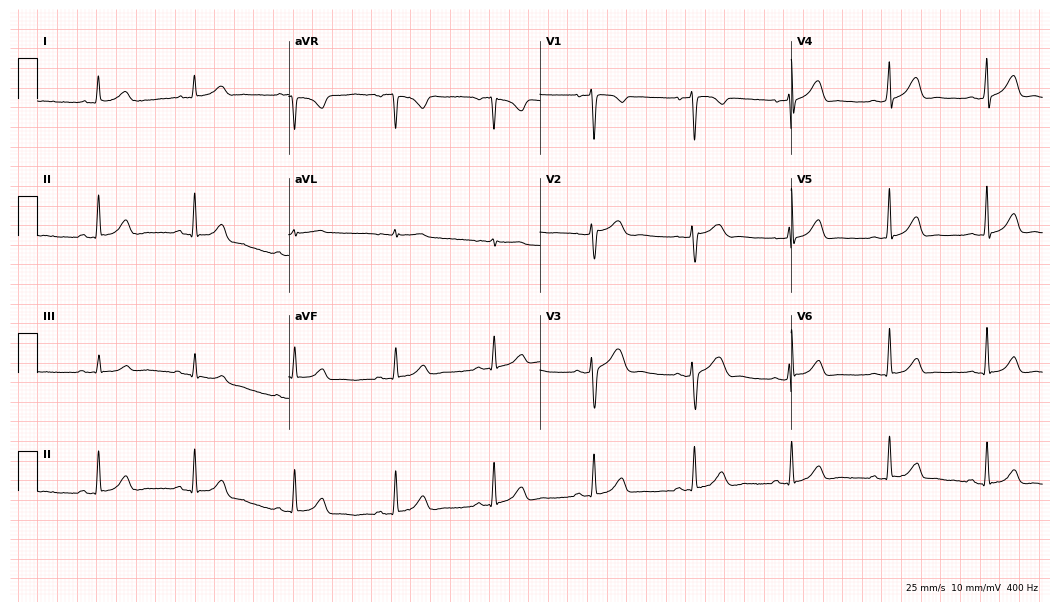
12-lead ECG from a female patient, 47 years old. Labelled as a normal ECG.